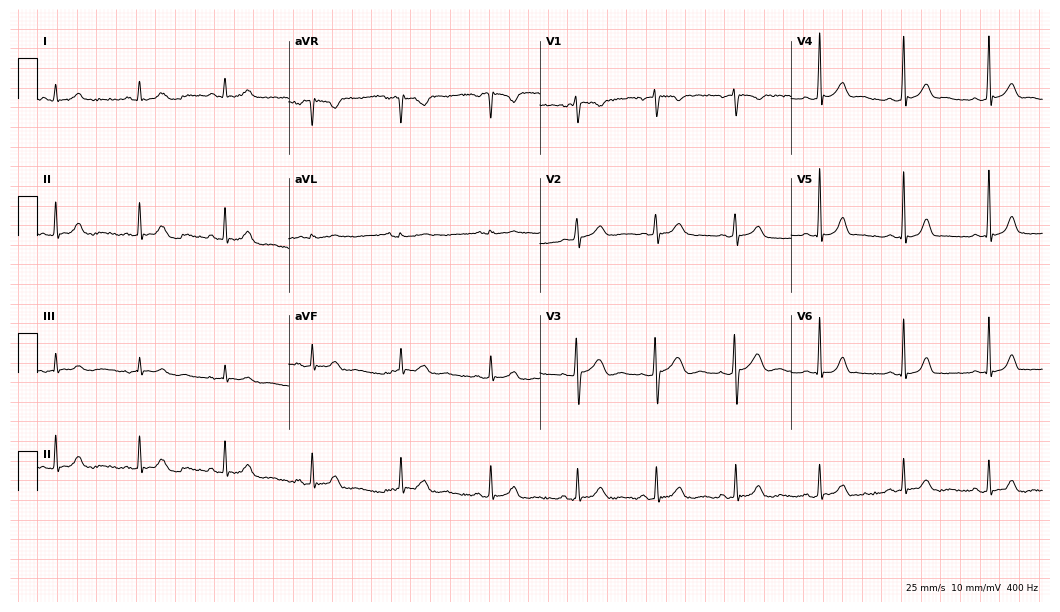
12-lead ECG from a female patient, 23 years old (10.2-second recording at 400 Hz). Recorded interpretation: within normal limits.